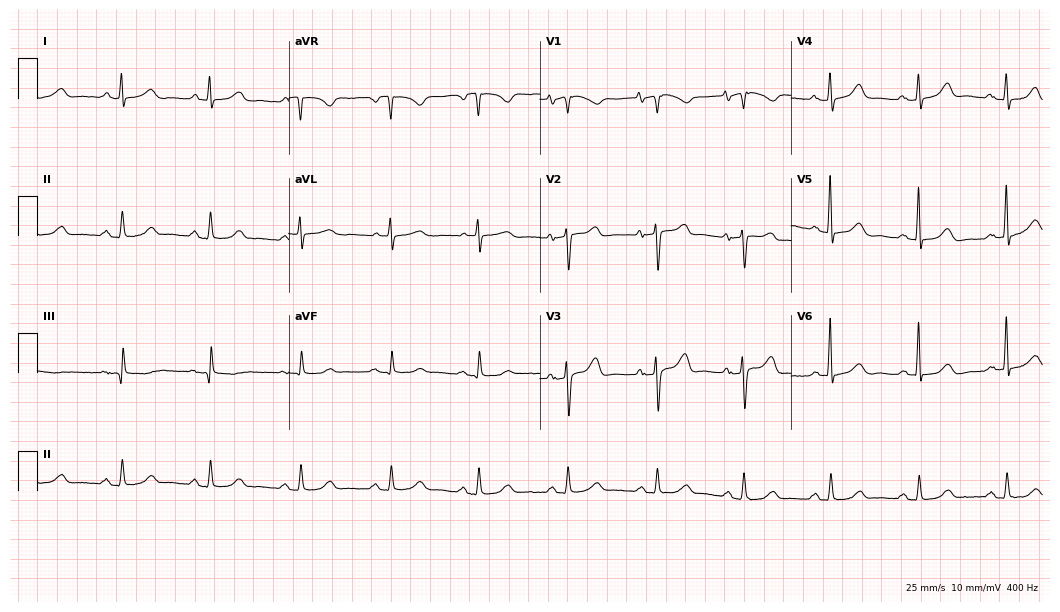
Resting 12-lead electrocardiogram (10.2-second recording at 400 Hz). Patient: an 80-year-old female. Read as a normal ECG.